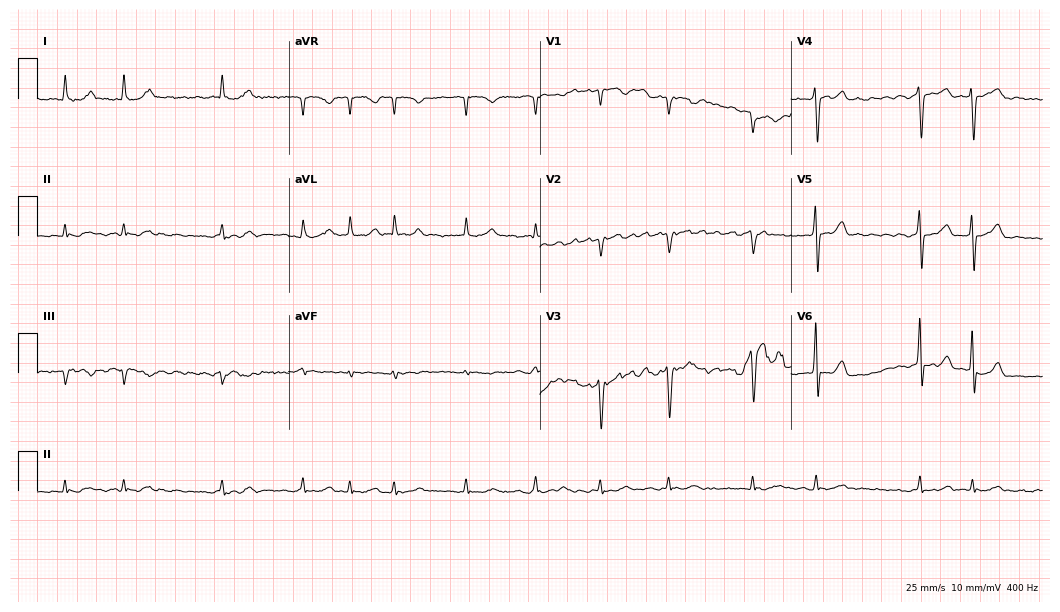
12-lead ECG from a male, 80 years old. Shows atrial fibrillation (AF).